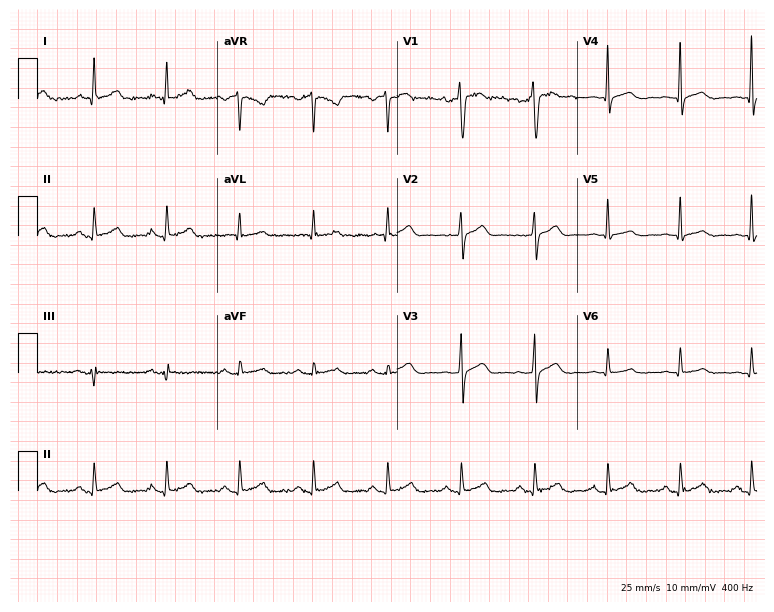
Standard 12-lead ECG recorded from a 48-year-old man (7.3-second recording at 400 Hz). None of these six findings is recorded: first-degree AV block, right bundle branch block (RBBB), left bundle branch block (LBBB), sinus bradycardia, atrial fibrillation (AF), sinus tachycardia.